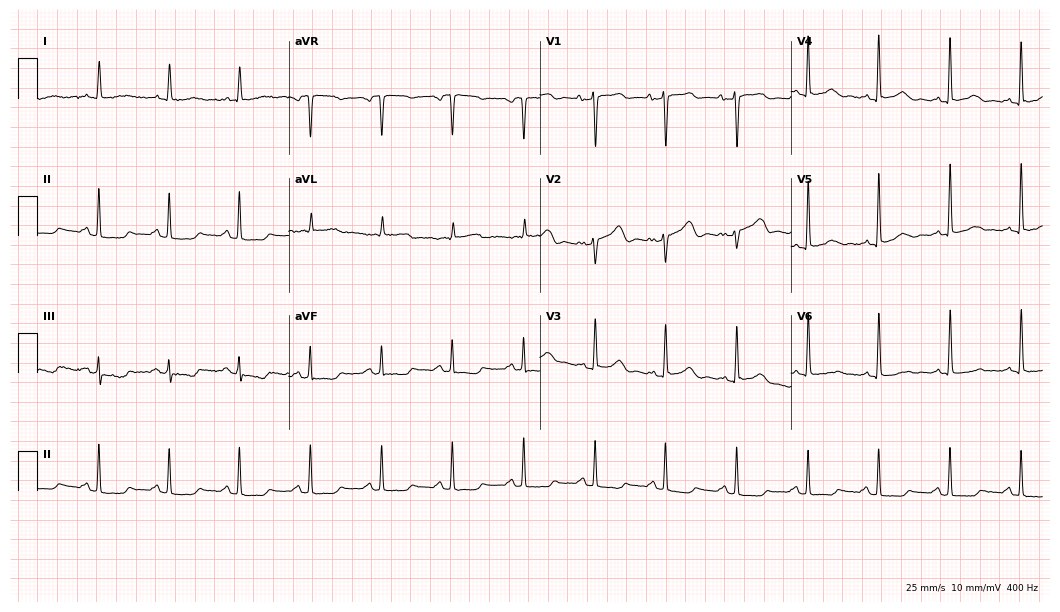
Electrocardiogram (10.2-second recording at 400 Hz), an 86-year-old female patient. Of the six screened findings (first-degree AV block, right bundle branch block (RBBB), left bundle branch block (LBBB), sinus bradycardia, atrial fibrillation (AF), sinus tachycardia), none is recorded. Findings outside these six are not listed.